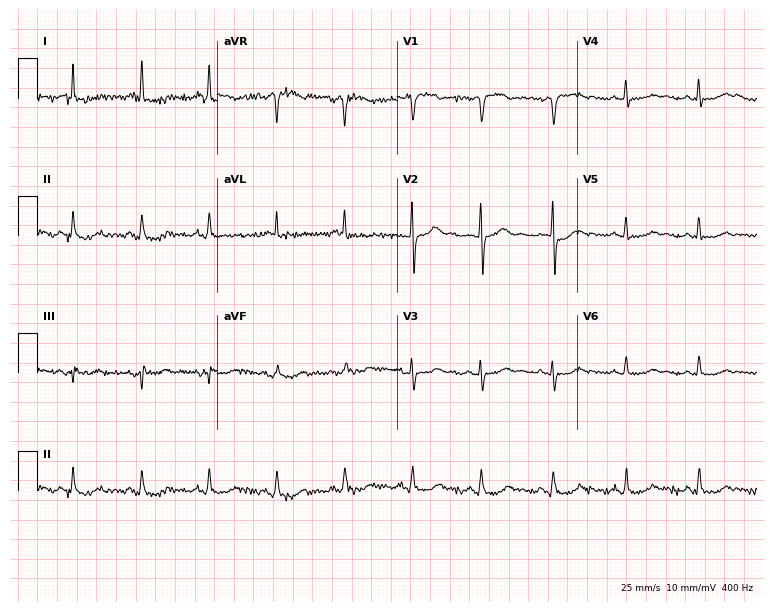
12-lead ECG from a woman, 68 years old. Screened for six findings — first-degree AV block, right bundle branch block, left bundle branch block, sinus bradycardia, atrial fibrillation, sinus tachycardia — none is recorded.